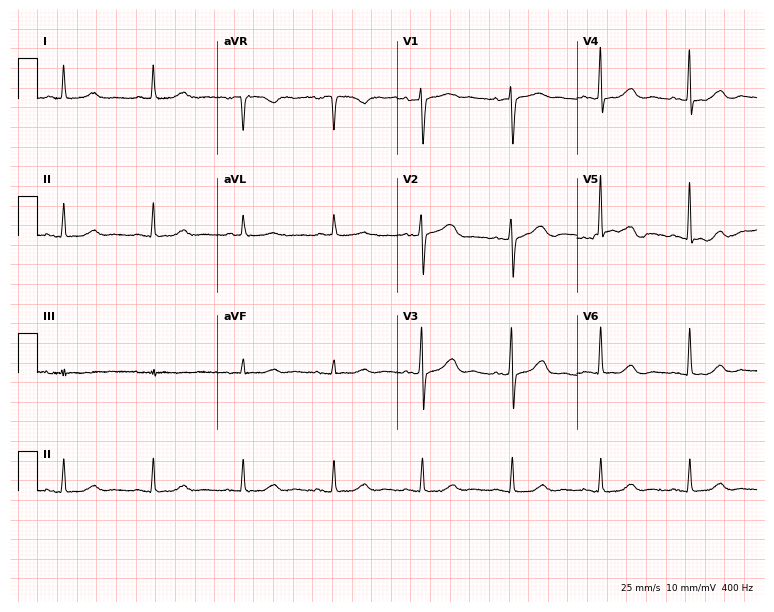
12-lead ECG from a 79-year-old woman (7.3-second recording at 400 Hz). Recorded interpretation: within normal limits.